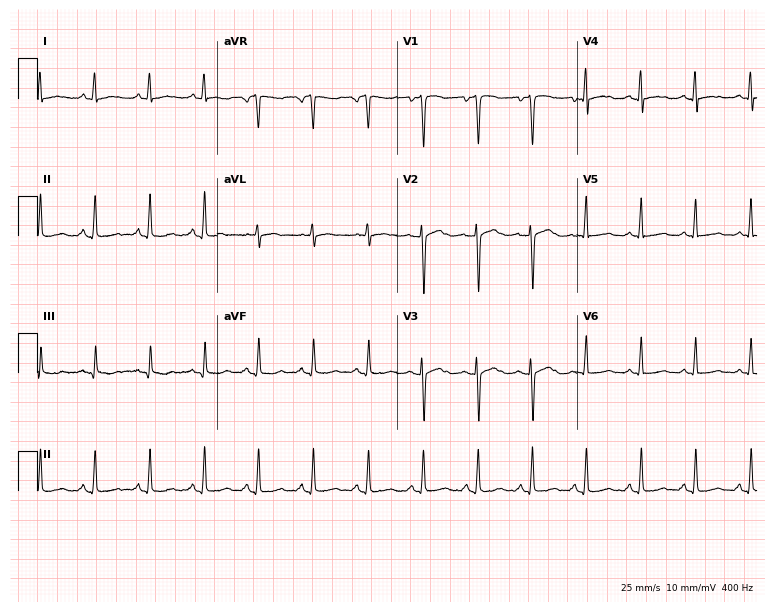
Standard 12-lead ECG recorded from a 44-year-old female (7.3-second recording at 400 Hz). None of these six findings is recorded: first-degree AV block, right bundle branch block (RBBB), left bundle branch block (LBBB), sinus bradycardia, atrial fibrillation (AF), sinus tachycardia.